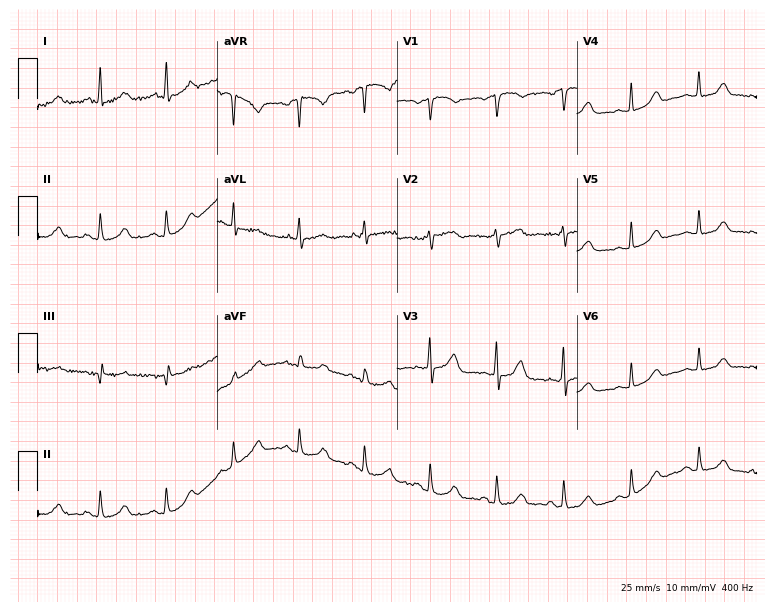
ECG — a 66-year-old female patient. Screened for six findings — first-degree AV block, right bundle branch block (RBBB), left bundle branch block (LBBB), sinus bradycardia, atrial fibrillation (AF), sinus tachycardia — none is recorded.